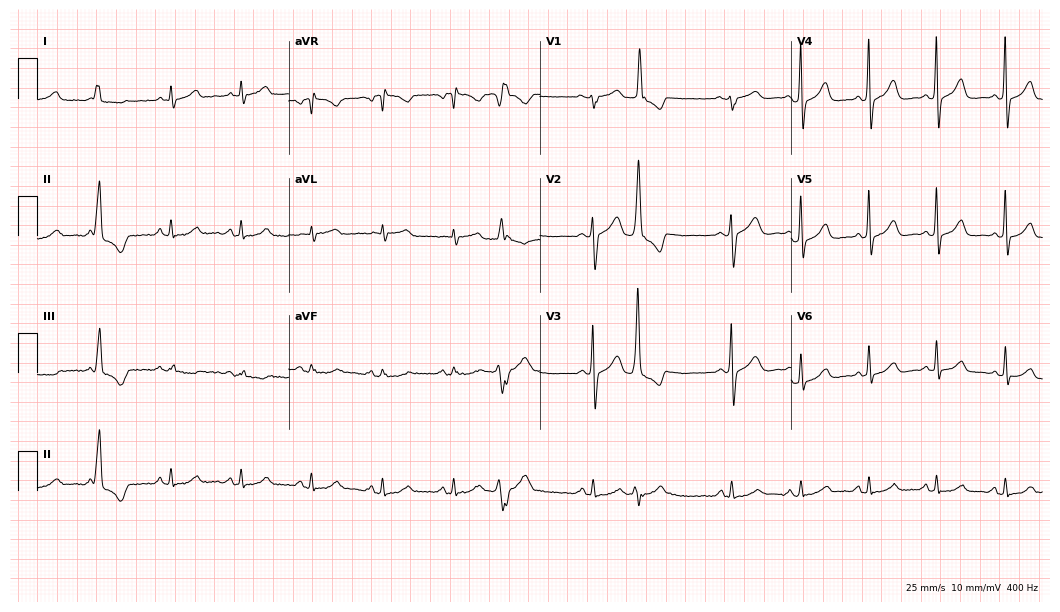
12-lead ECG from a male patient, 81 years old. No first-degree AV block, right bundle branch block, left bundle branch block, sinus bradycardia, atrial fibrillation or sinus tachycardia recorded for this tracing.